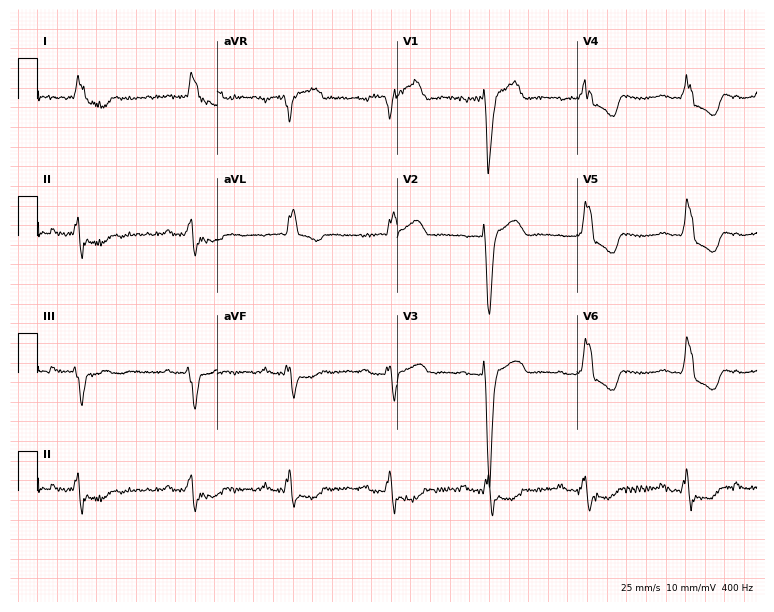
Electrocardiogram (7.3-second recording at 400 Hz), a woman, 83 years old. Interpretation includes left bundle branch block (LBBB).